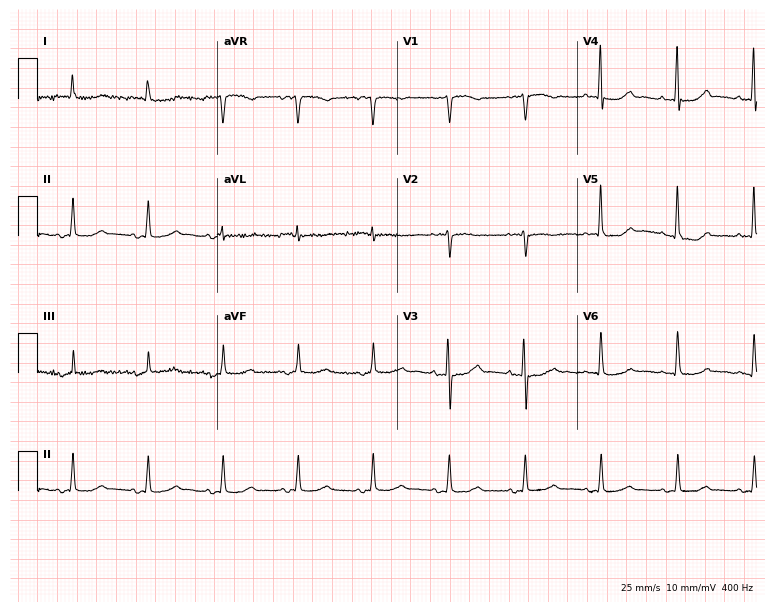
Standard 12-lead ECG recorded from a 69-year-old woman (7.3-second recording at 400 Hz). None of these six findings is recorded: first-degree AV block, right bundle branch block, left bundle branch block, sinus bradycardia, atrial fibrillation, sinus tachycardia.